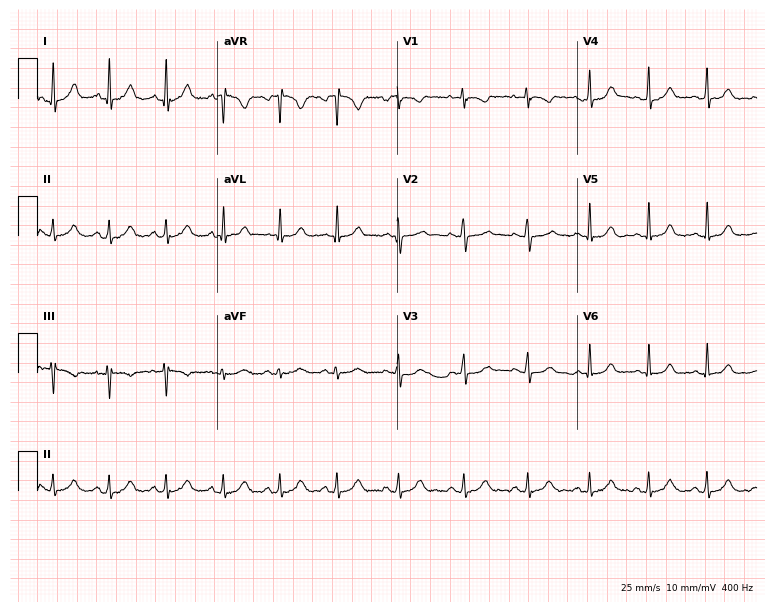
12-lead ECG from a woman, 23 years old. Labelled as a normal ECG.